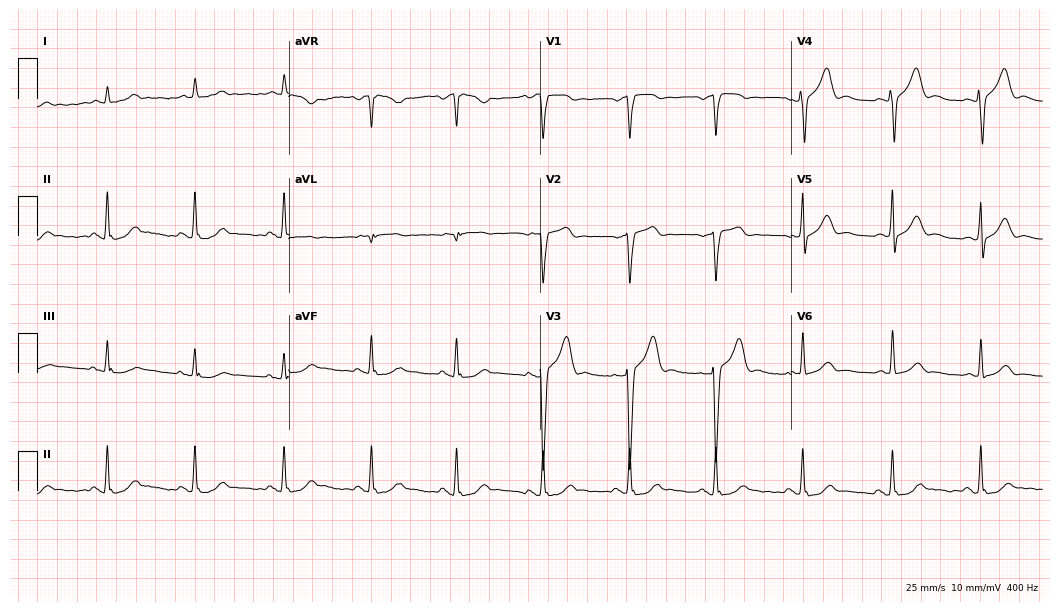
Electrocardiogram (10.2-second recording at 400 Hz), a 60-year-old male patient. Of the six screened findings (first-degree AV block, right bundle branch block, left bundle branch block, sinus bradycardia, atrial fibrillation, sinus tachycardia), none is recorded.